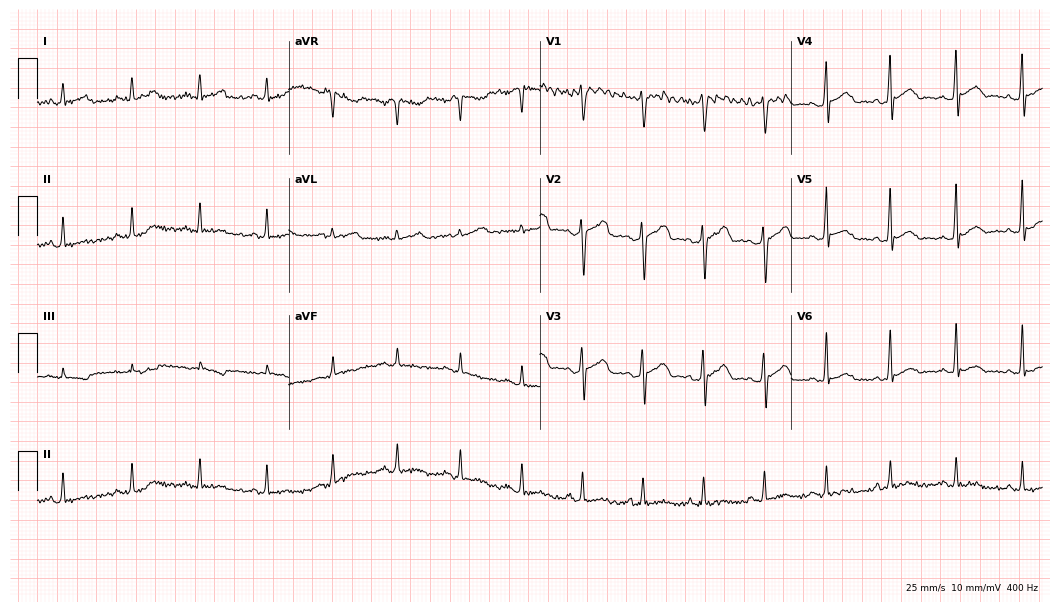
12-lead ECG (10.2-second recording at 400 Hz) from a male patient, 30 years old. Screened for six findings — first-degree AV block, right bundle branch block, left bundle branch block, sinus bradycardia, atrial fibrillation, sinus tachycardia — none is recorded. Other findings, if any, are not listed.